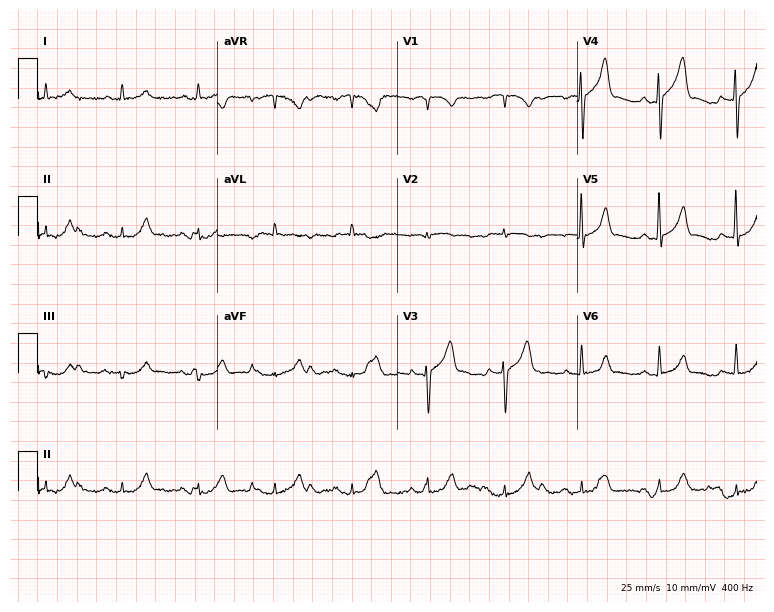
12-lead ECG (7.3-second recording at 400 Hz) from a male, 81 years old. Screened for six findings — first-degree AV block, right bundle branch block, left bundle branch block, sinus bradycardia, atrial fibrillation, sinus tachycardia — none is recorded. Findings outside these six are not listed.